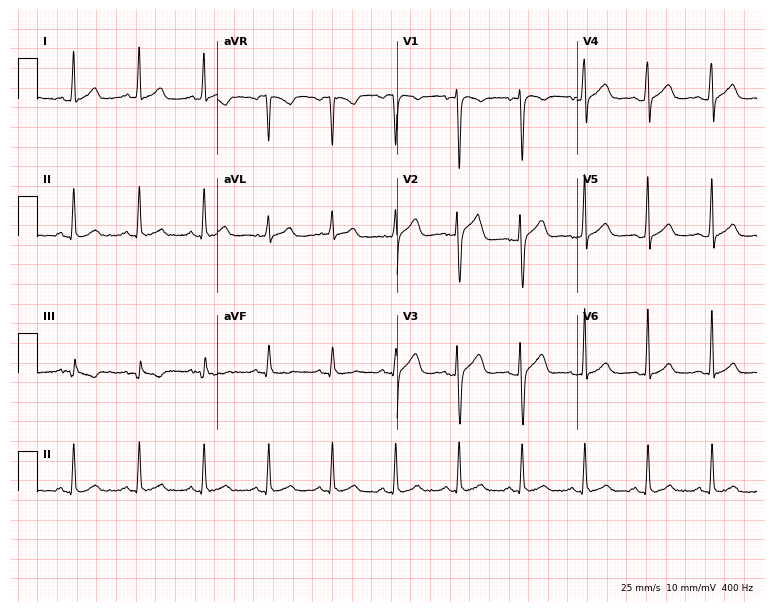
ECG — a male patient, 31 years old. Labelled as a normal ECG.